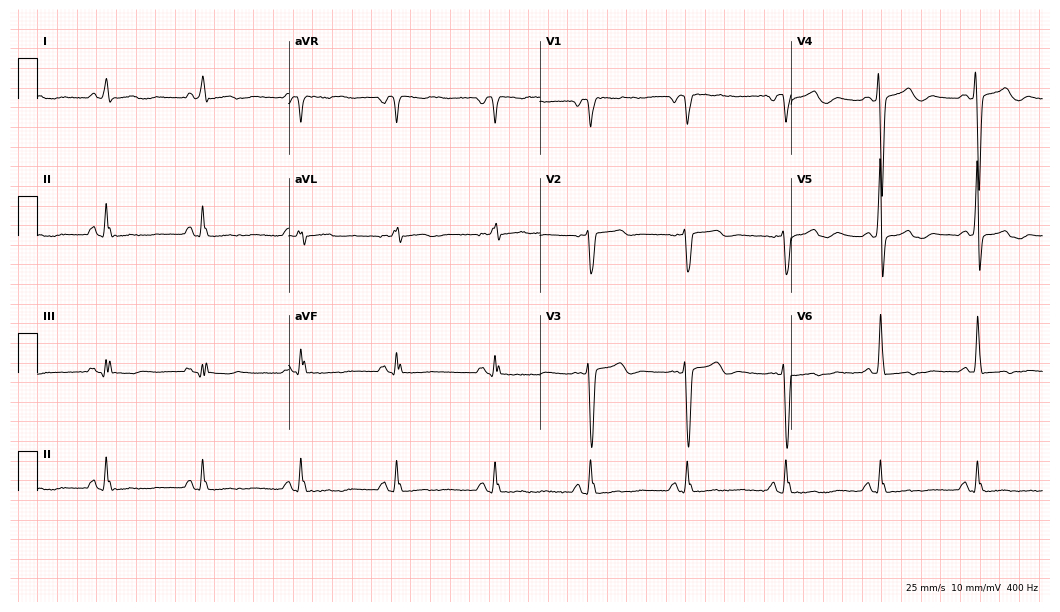
Resting 12-lead electrocardiogram. Patient: a 67-year-old female. Read as a normal ECG.